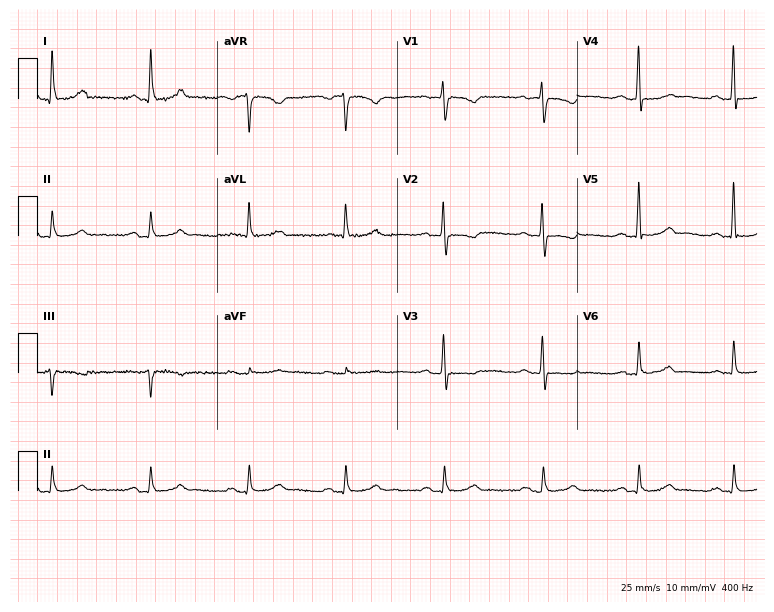
12-lead ECG from a female patient, 53 years old (7.3-second recording at 400 Hz). No first-degree AV block, right bundle branch block, left bundle branch block, sinus bradycardia, atrial fibrillation or sinus tachycardia recorded for this tracing. Findings outside these six are not listed.